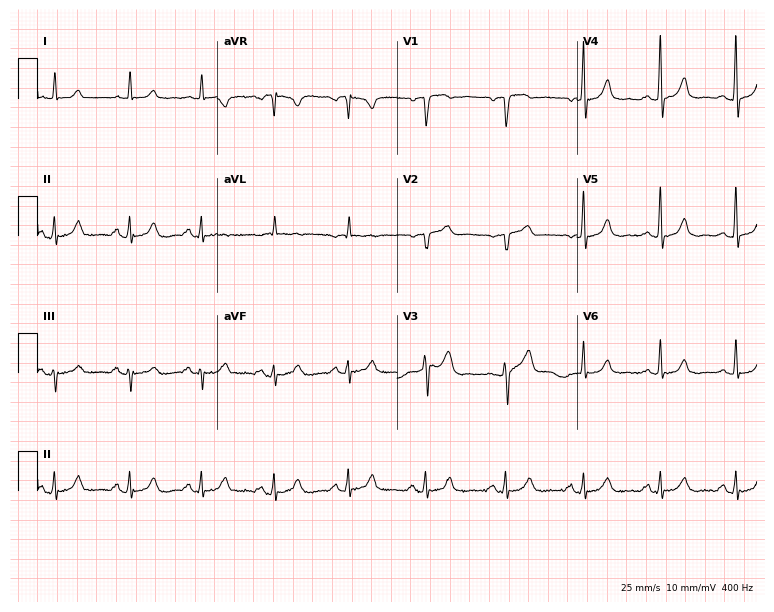
Resting 12-lead electrocardiogram (7.3-second recording at 400 Hz). Patient: a 66-year-old man. Read as a normal ECG.